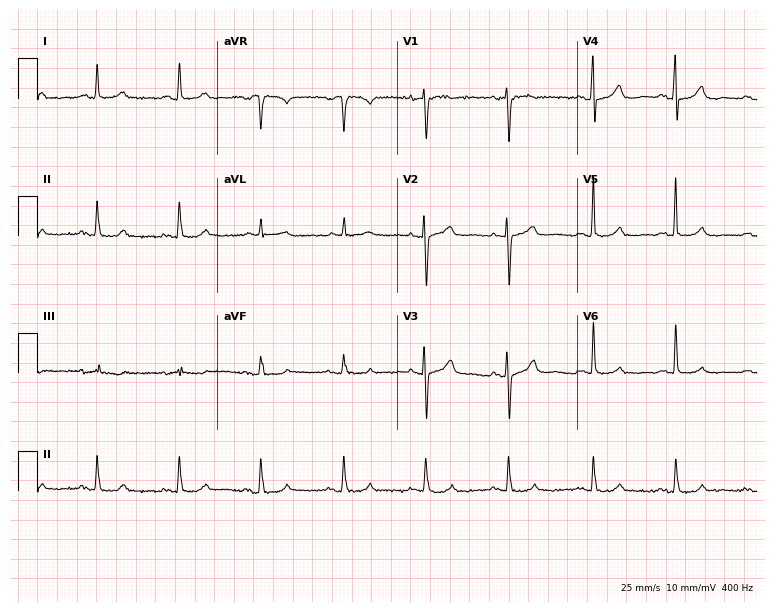
Standard 12-lead ECG recorded from a 75-year-old female. Read as a normal ECG.